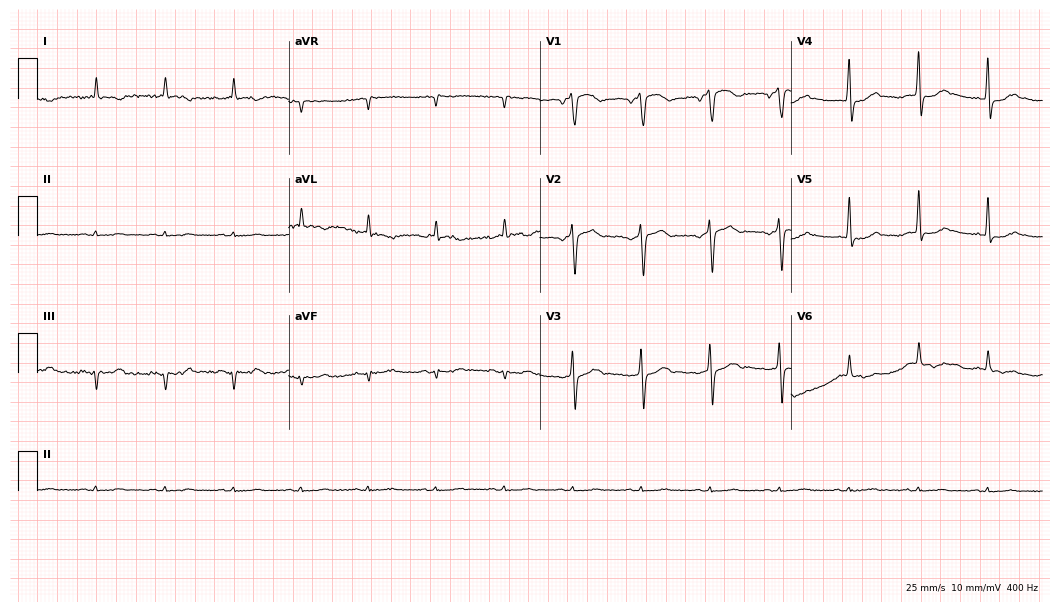
Standard 12-lead ECG recorded from a male patient, 66 years old. None of these six findings is recorded: first-degree AV block, right bundle branch block (RBBB), left bundle branch block (LBBB), sinus bradycardia, atrial fibrillation (AF), sinus tachycardia. Only these six findings were labelled.